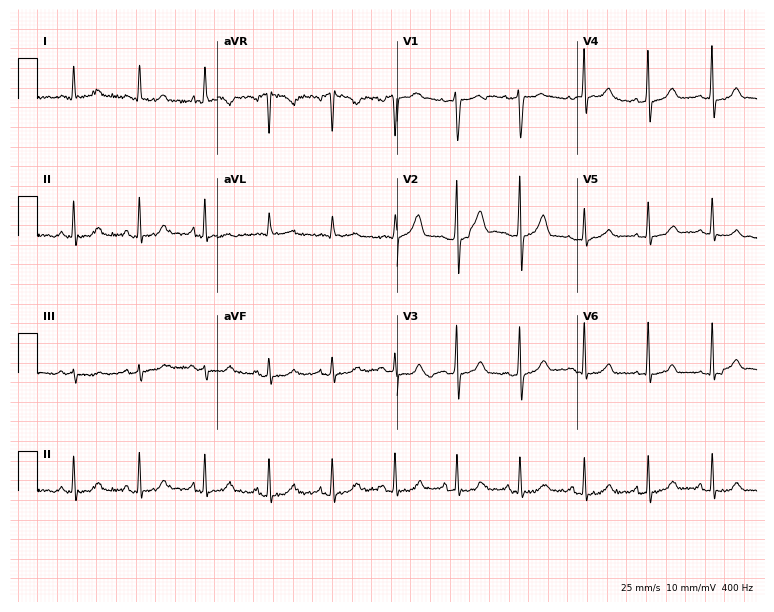
ECG — a 43-year-old woman. Labelled as a normal ECG.